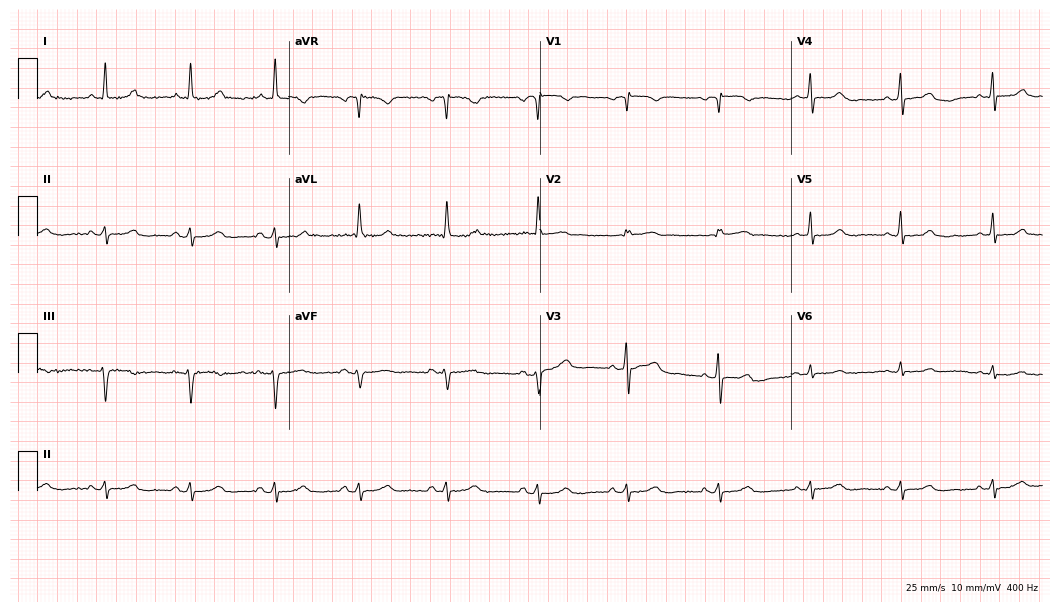
ECG — a 56-year-old woman. Labelled as a normal ECG.